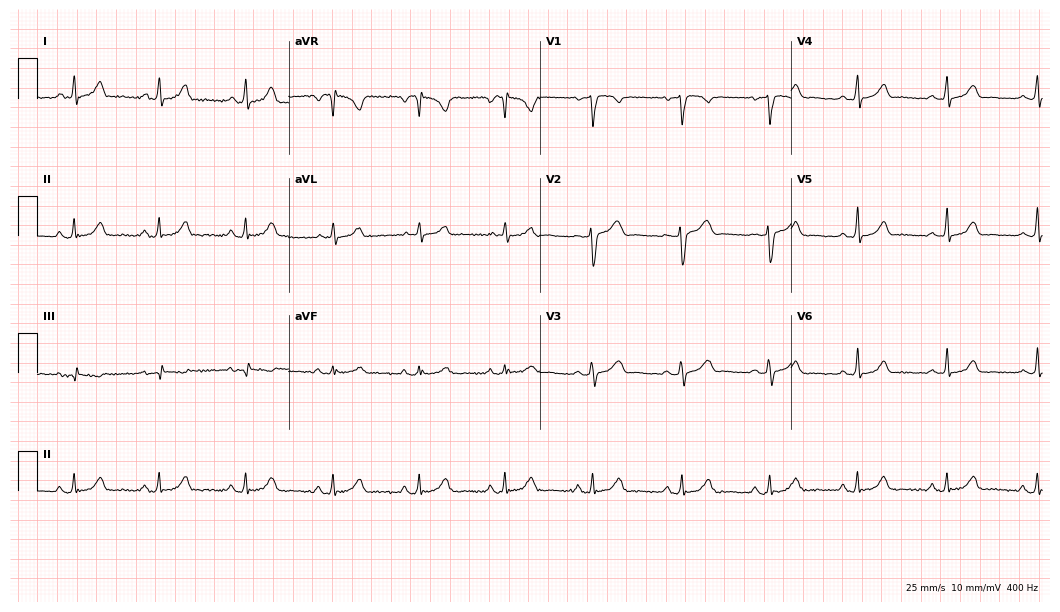
12-lead ECG from a female, 39 years old. Labelled as a normal ECG.